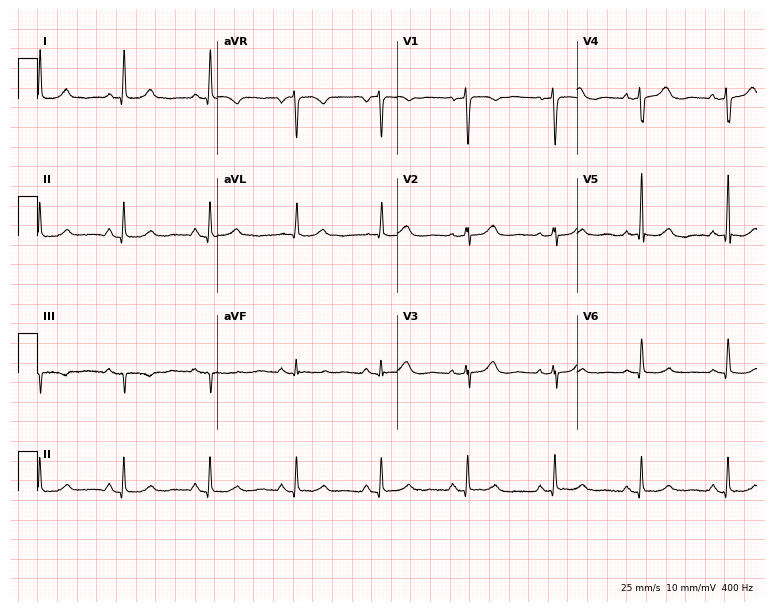
12-lead ECG from a female patient, 59 years old (7.3-second recording at 400 Hz). No first-degree AV block, right bundle branch block, left bundle branch block, sinus bradycardia, atrial fibrillation or sinus tachycardia recorded for this tracing.